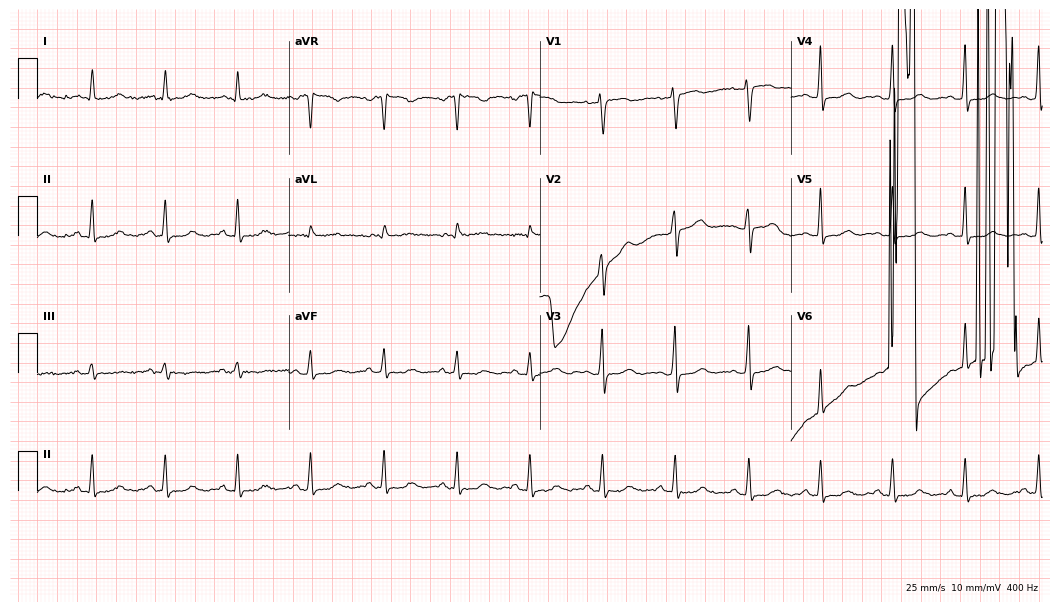
Electrocardiogram (10.2-second recording at 400 Hz), a female patient, 55 years old. Of the six screened findings (first-degree AV block, right bundle branch block, left bundle branch block, sinus bradycardia, atrial fibrillation, sinus tachycardia), none is recorded. Other findings, if any, are not listed.